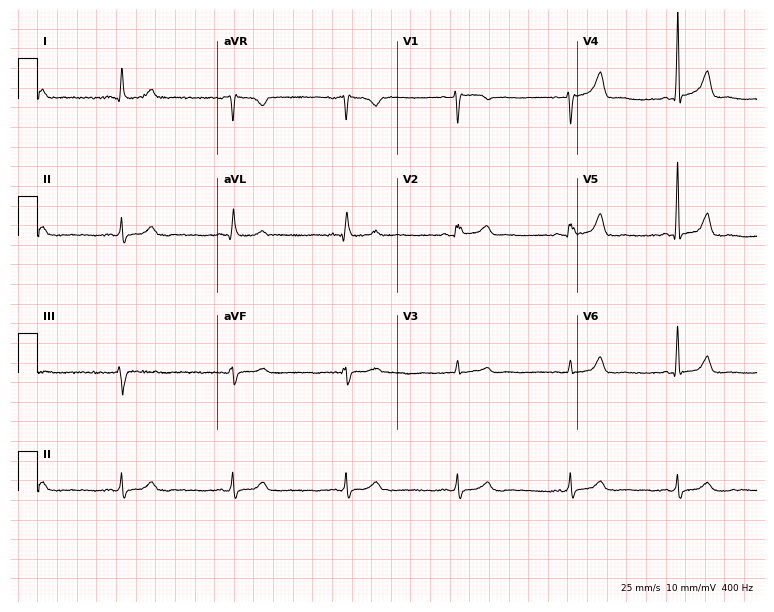
12-lead ECG from a 41-year-old woman. Recorded interpretation: within normal limits.